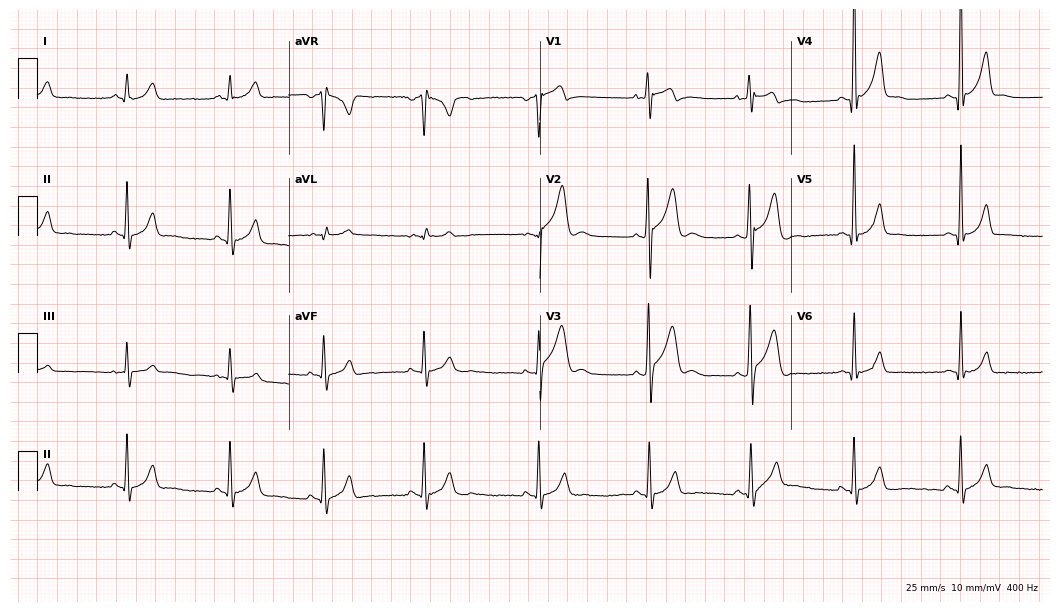
Electrocardiogram (10.2-second recording at 400 Hz), a man, 19 years old. Of the six screened findings (first-degree AV block, right bundle branch block, left bundle branch block, sinus bradycardia, atrial fibrillation, sinus tachycardia), none is recorded.